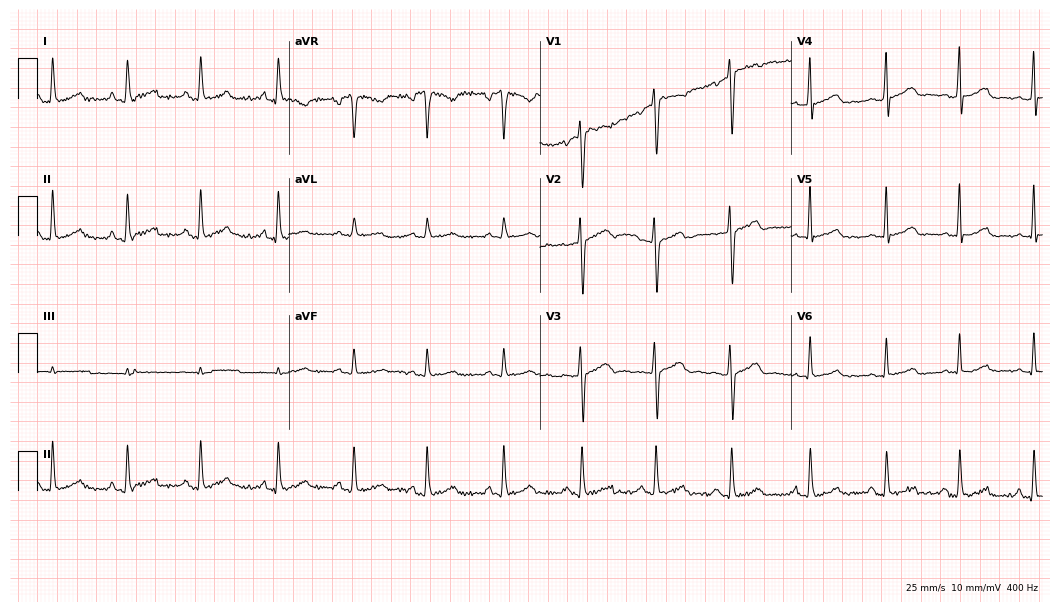
ECG — a 33-year-old female. Labelled as a normal ECG.